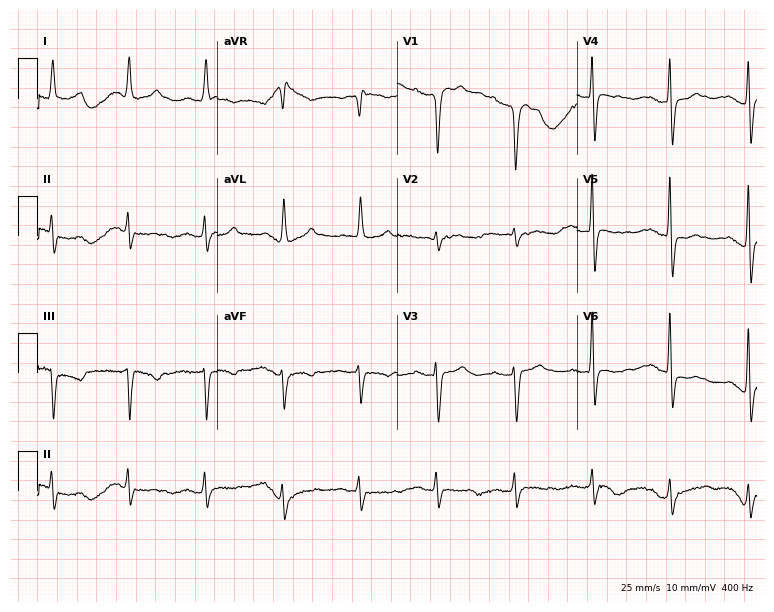
Electrocardiogram (7.3-second recording at 400 Hz), an 84-year-old female patient. Of the six screened findings (first-degree AV block, right bundle branch block, left bundle branch block, sinus bradycardia, atrial fibrillation, sinus tachycardia), none is recorded.